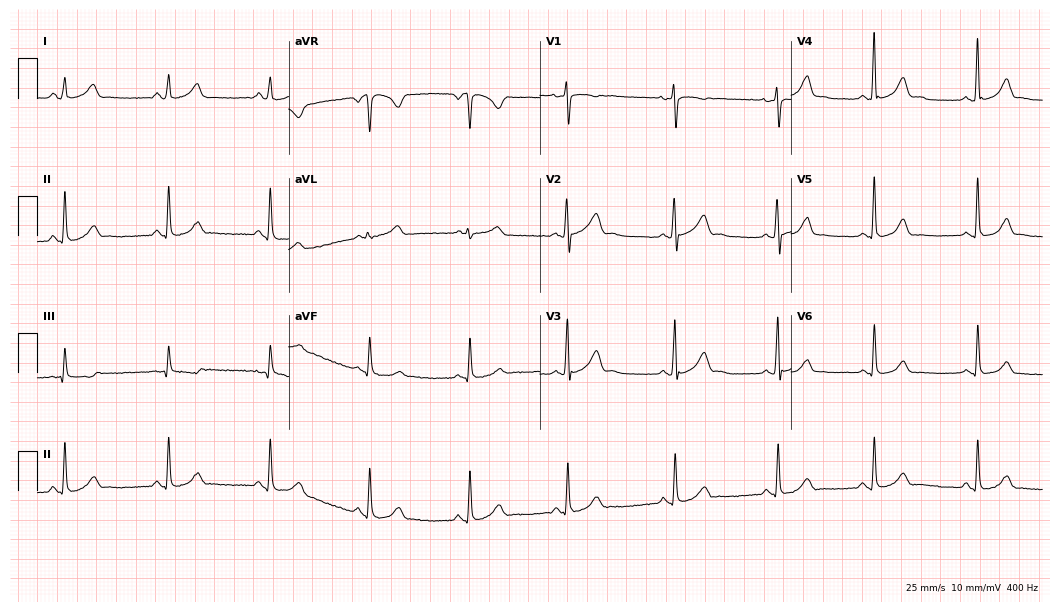
Resting 12-lead electrocardiogram (10.2-second recording at 400 Hz). Patient: a woman, 30 years old. Read as a normal ECG.